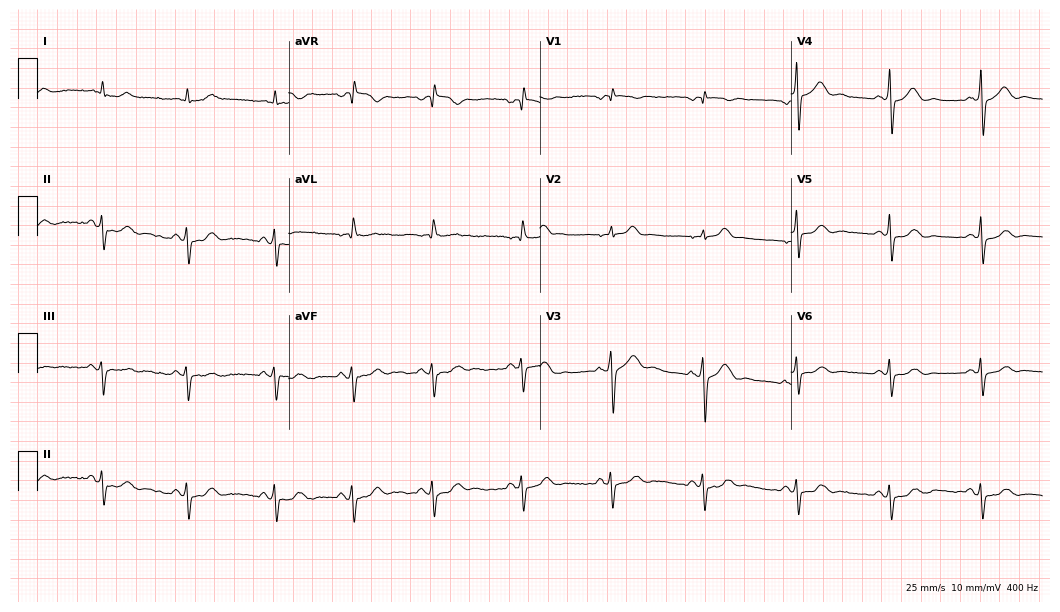
Electrocardiogram, a male patient, 59 years old. Of the six screened findings (first-degree AV block, right bundle branch block (RBBB), left bundle branch block (LBBB), sinus bradycardia, atrial fibrillation (AF), sinus tachycardia), none is recorded. Only these six findings were labelled.